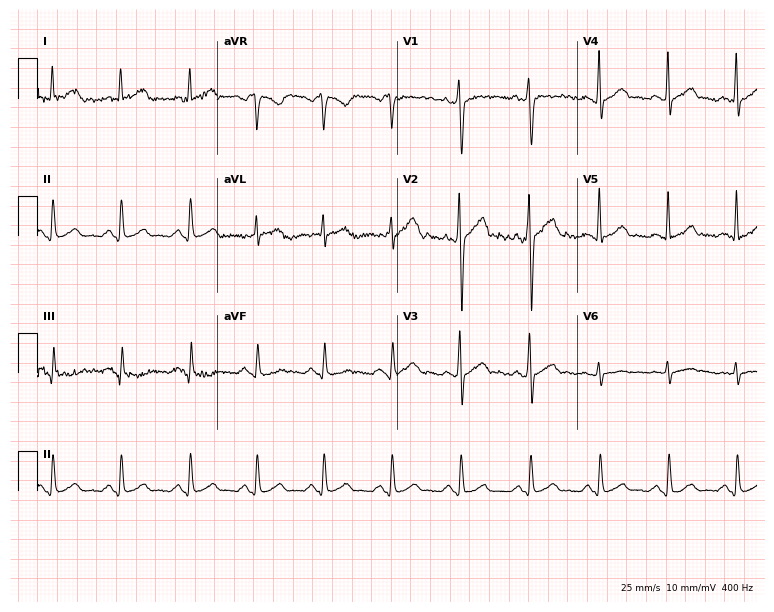
ECG (7.3-second recording at 400 Hz) — a male, 29 years old. Screened for six findings — first-degree AV block, right bundle branch block, left bundle branch block, sinus bradycardia, atrial fibrillation, sinus tachycardia — none is recorded.